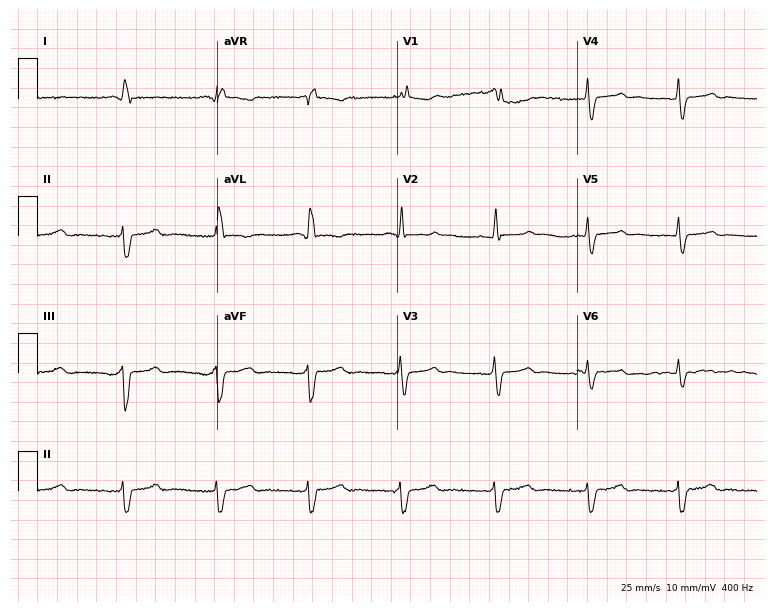
Resting 12-lead electrocardiogram. Patient: a woman, 45 years old. The tracing shows right bundle branch block, left bundle branch block.